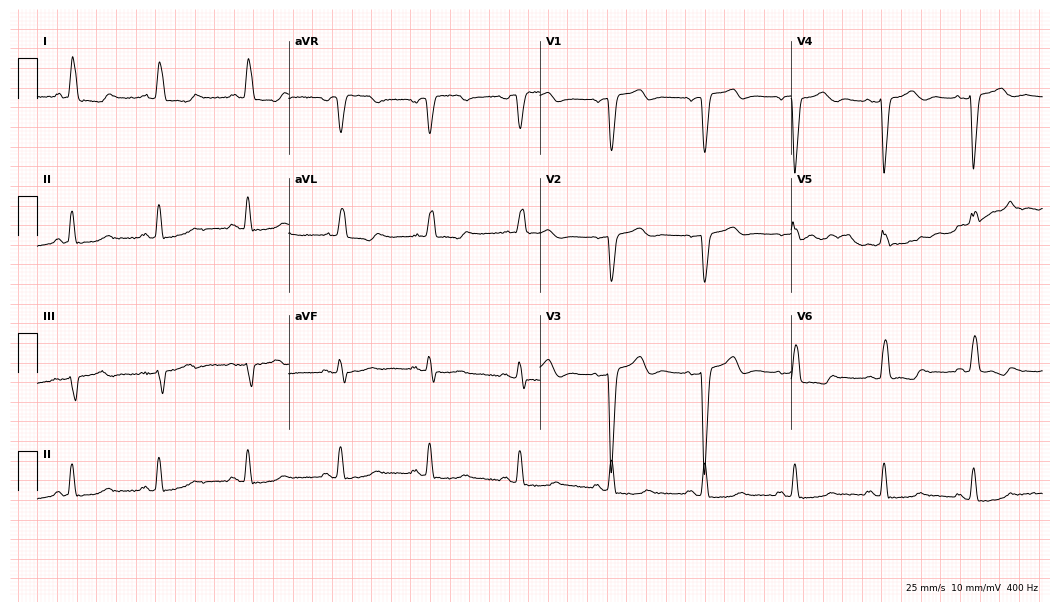
ECG — a 46-year-old female. Findings include left bundle branch block (LBBB).